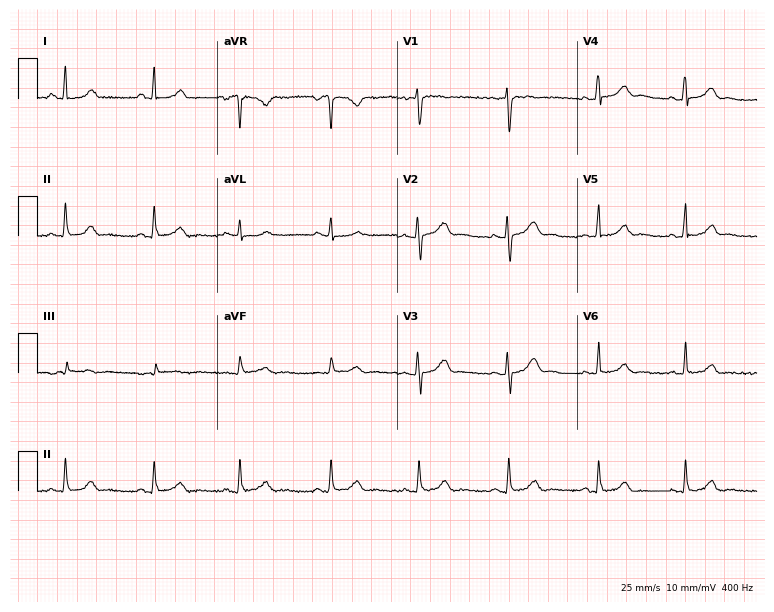
Standard 12-lead ECG recorded from a woman, 33 years old. None of these six findings is recorded: first-degree AV block, right bundle branch block (RBBB), left bundle branch block (LBBB), sinus bradycardia, atrial fibrillation (AF), sinus tachycardia. Only these six findings were labelled.